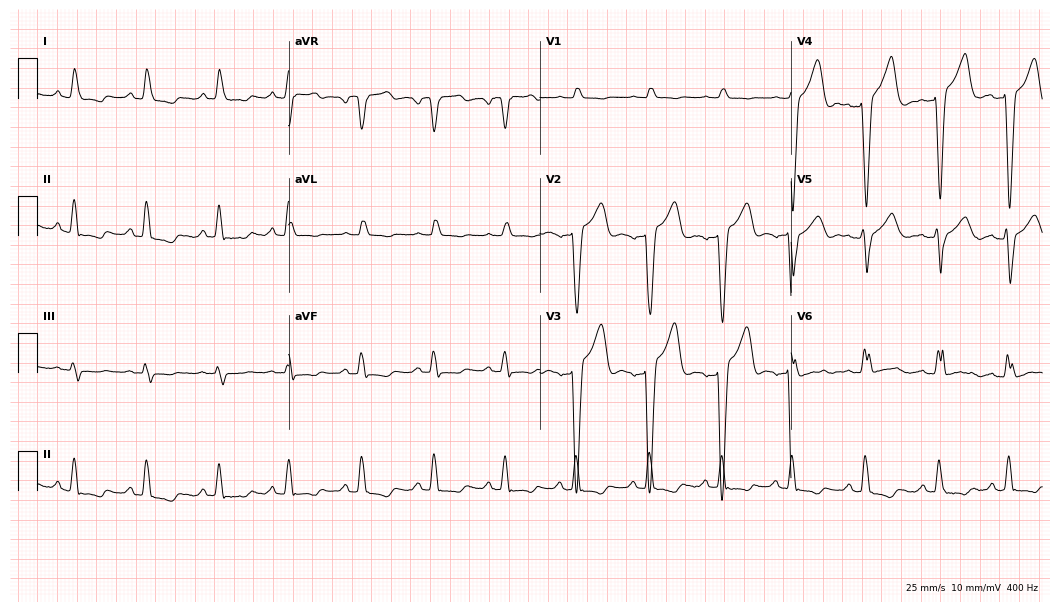
Resting 12-lead electrocardiogram (10.2-second recording at 400 Hz). Patient: a 57-year-old female. None of these six findings is recorded: first-degree AV block, right bundle branch block, left bundle branch block, sinus bradycardia, atrial fibrillation, sinus tachycardia.